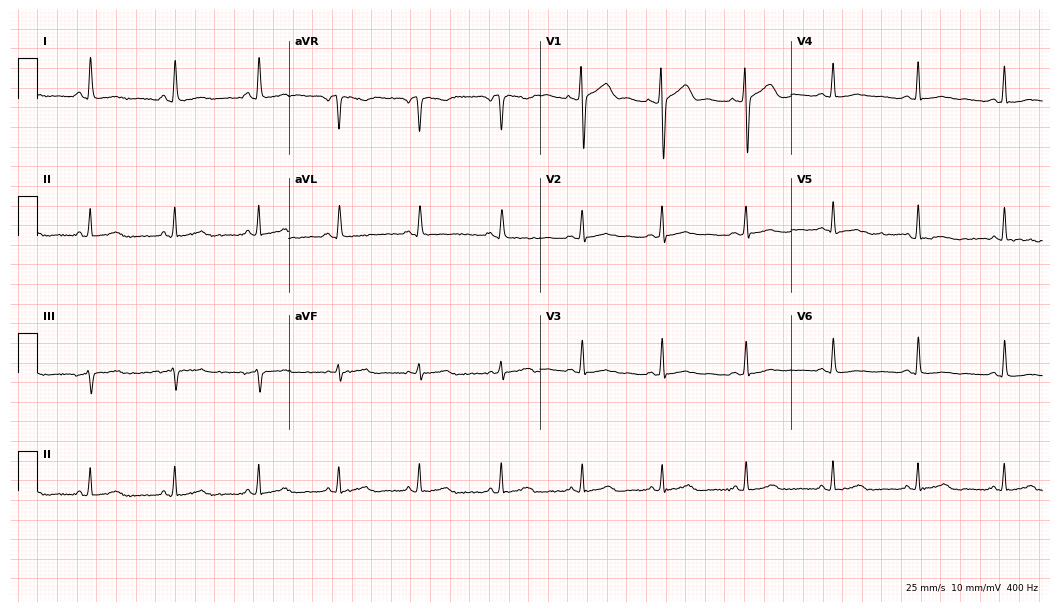
Electrocardiogram, a female, 30 years old. Of the six screened findings (first-degree AV block, right bundle branch block, left bundle branch block, sinus bradycardia, atrial fibrillation, sinus tachycardia), none is recorded.